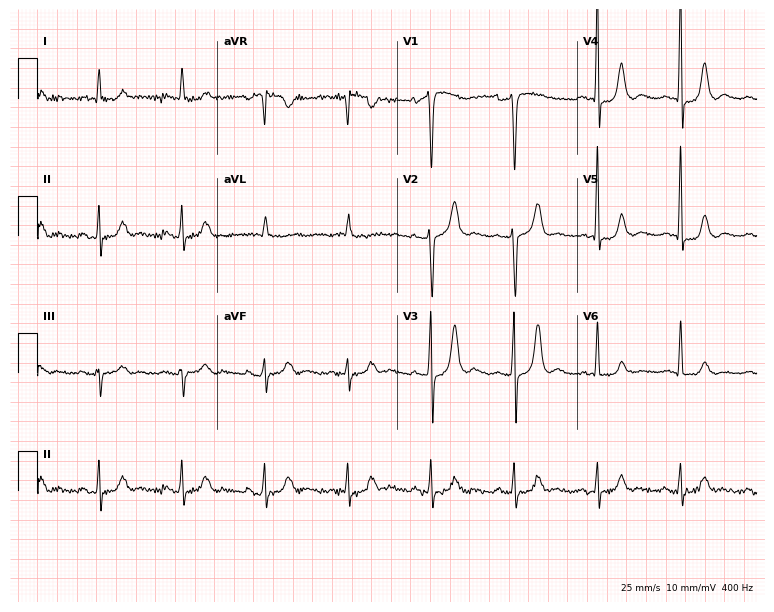
Electrocardiogram, a woman, 77 years old. Of the six screened findings (first-degree AV block, right bundle branch block, left bundle branch block, sinus bradycardia, atrial fibrillation, sinus tachycardia), none is recorded. Other findings, if any, are not listed.